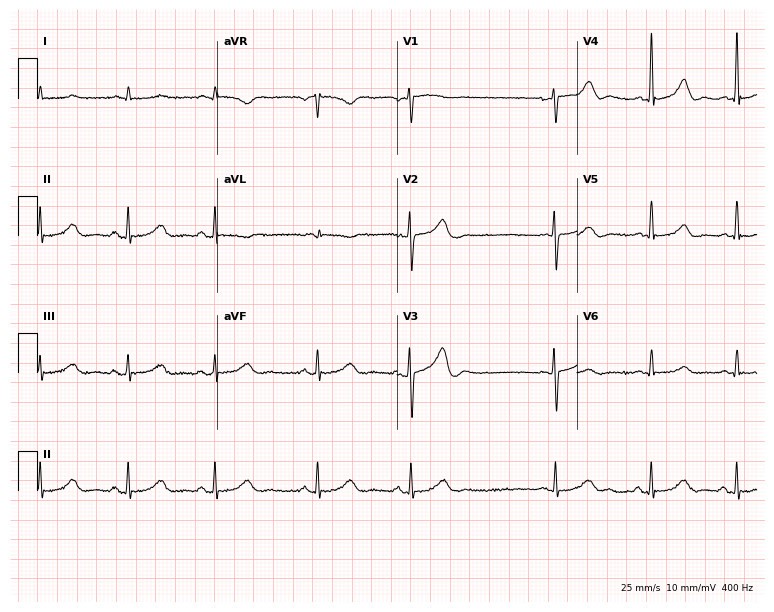
12-lead ECG from a 41-year-old female patient (7.3-second recording at 400 Hz). No first-degree AV block, right bundle branch block, left bundle branch block, sinus bradycardia, atrial fibrillation or sinus tachycardia recorded for this tracing. Findings outside these six are not listed.